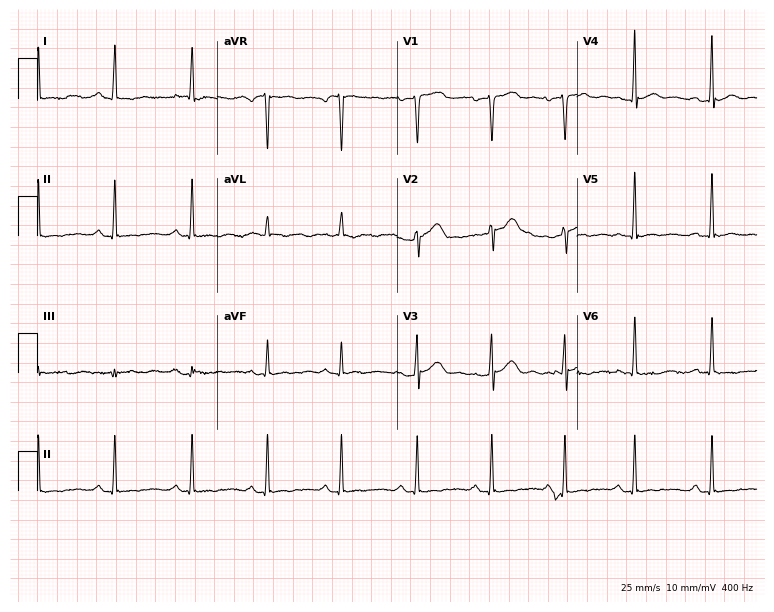
Resting 12-lead electrocardiogram (7.3-second recording at 400 Hz). Patient: a female, 37 years old. None of these six findings is recorded: first-degree AV block, right bundle branch block, left bundle branch block, sinus bradycardia, atrial fibrillation, sinus tachycardia. Other findings, if any, are not listed.